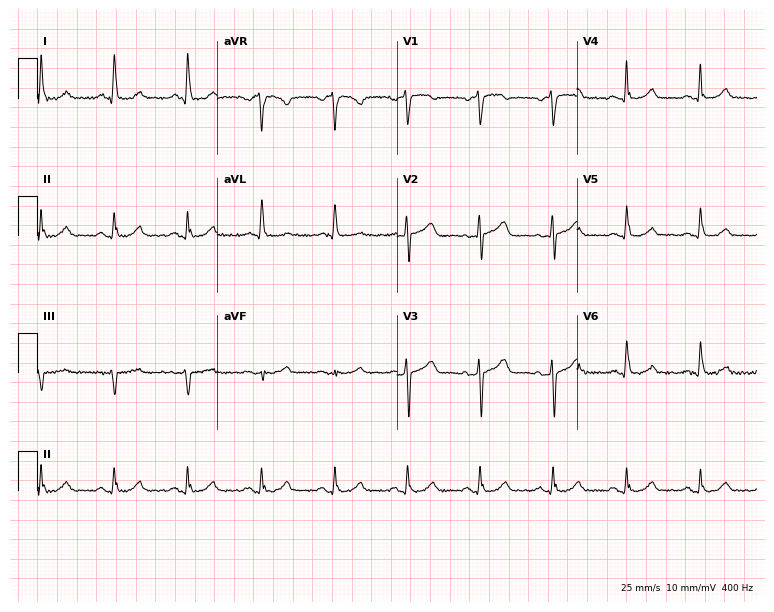
Standard 12-lead ECG recorded from a man, 52 years old. Read as a normal ECG.